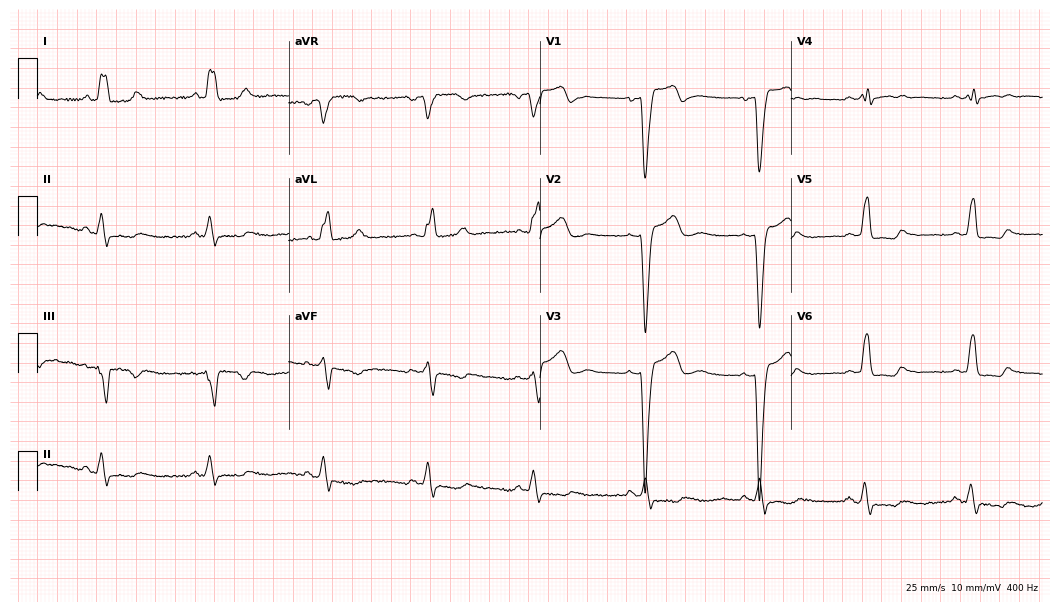
Electrocardiogram, a female patient, 47 years old. Interpretation includes left bundle branch block (LBBB).